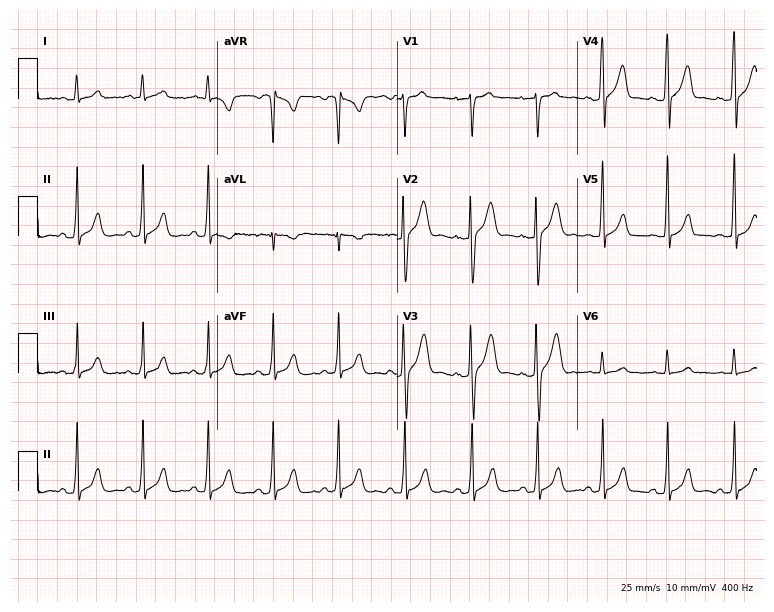
Resting 12-lead electrocardiogram. Patient: a male, 21 years old. Read as a normal ECG.